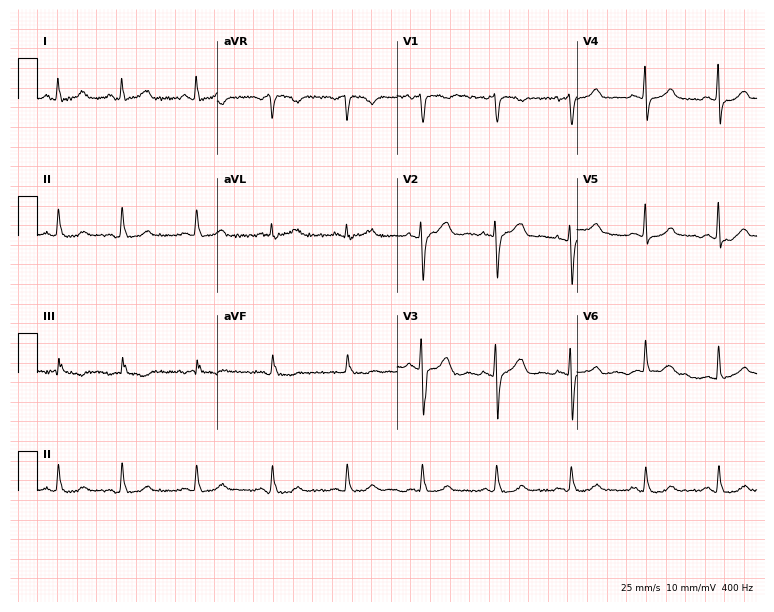
12-lead ECG (7.3-second recording at 400 Hz) from a 59-year-old female patient. Labelled as a normal ECG.